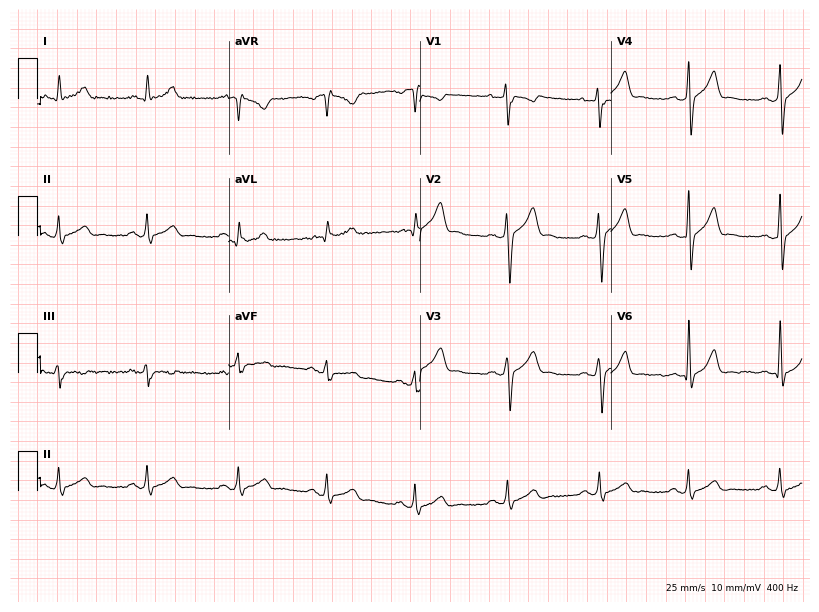
Resting 12-lead electrocardiogram (7.8-second recording at 400 Hz). Patient: a man, 24 years old. None of these six findings is recorded: first-degree AV block, right bundle branch block, left bundle branch block, sinus bradycardia, atrial fibrillation, sinus tachycardia.